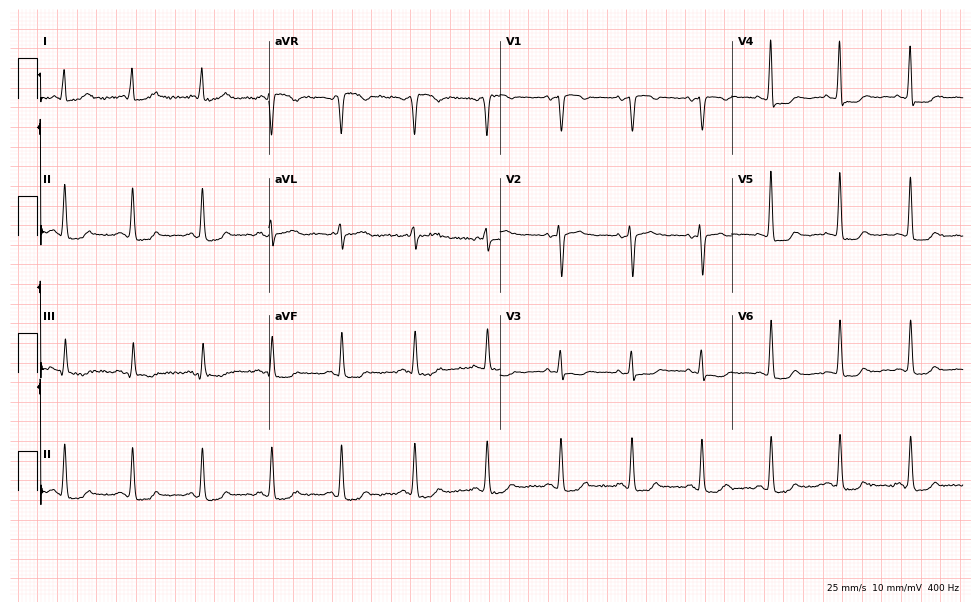
12-lead ECG from a female, 67 years old (9.4-second recording at 400 Hz). No first-degree AV block, right bundle branch block (RBBB), left bundle branch block (LBBB), sinus bradycardia, atrial fibrillation (AF) or sinus tachycardia recorded for this tracing. Only these six findings were labelled.